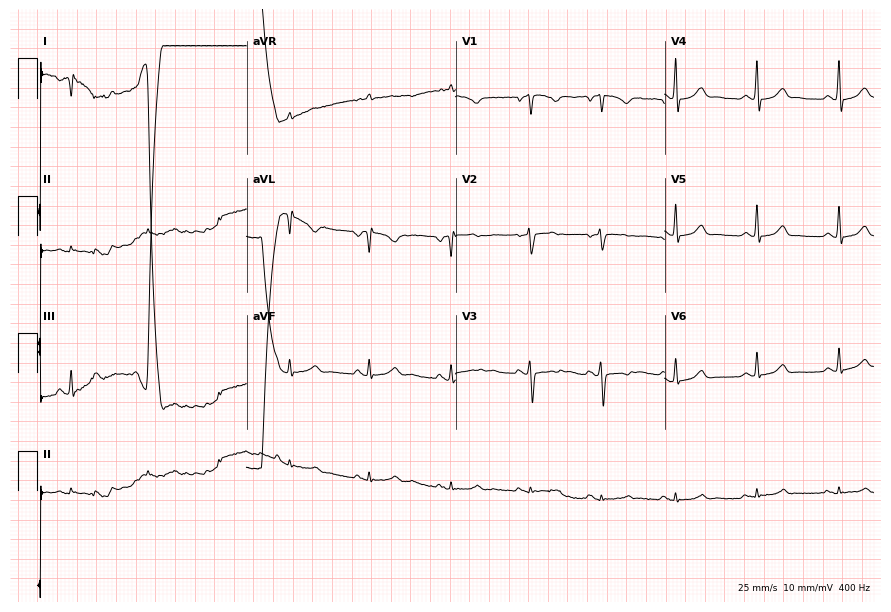
12-lead ECG (8.5-second recording at 400 Hz) from a 20-year-old woman. Screened for six findings — first-degree AV block, right bundle branch block, left bundle branch block, sinus bradycardia, atrial fibrillation, sinus tachycardia — none is recorded.